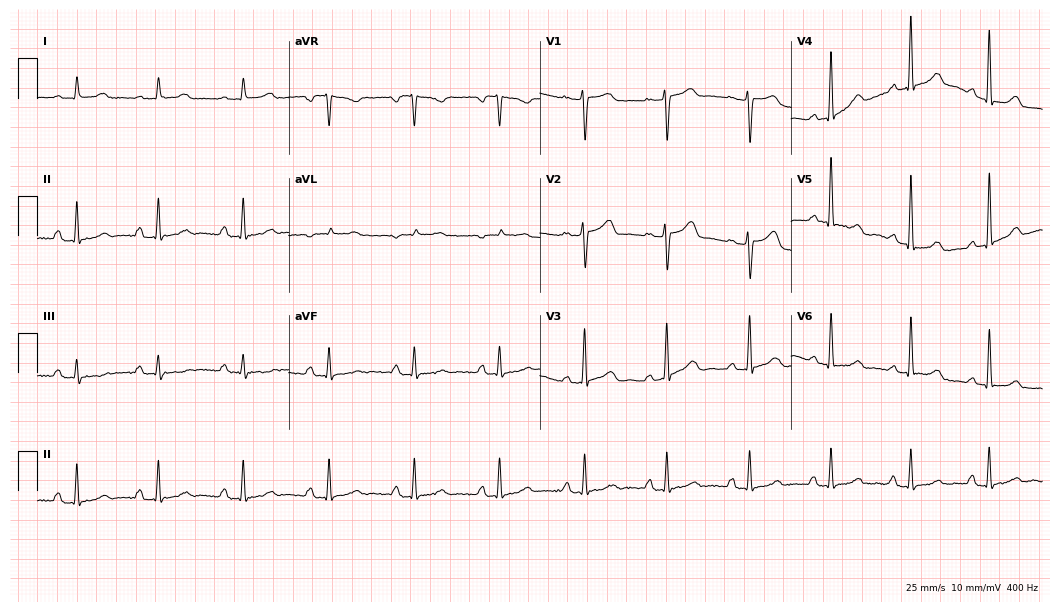
12-lead ECG (10.2-second recording at 400 Hz) from a woman, 56 years old. Screened for six findings — first-degree AV block, right bundle branch block, left bundle branch block, sinus bradycardia, atrial fibrillation, sinus tachycardia — none is recorded. Only these six findings were labelled.